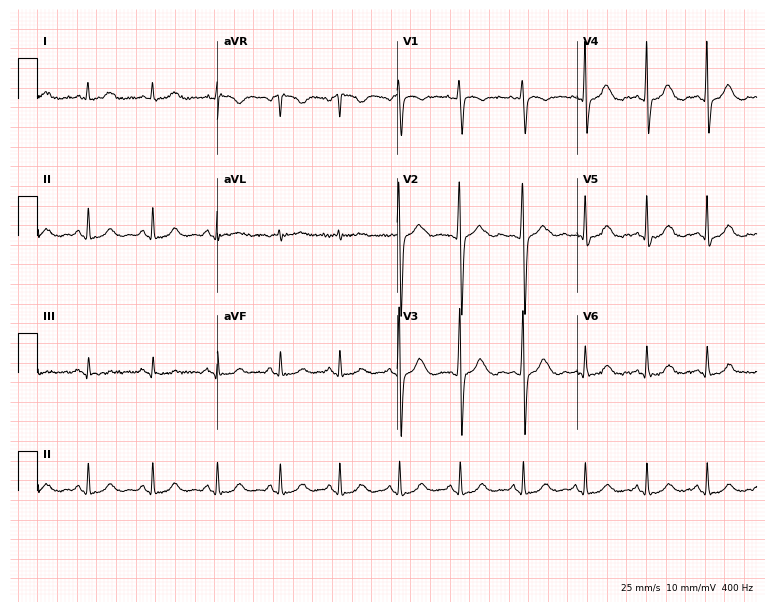
12-lead ECG from a woman, 42 years old. Screened for six findings — first-degree AV block, right bundle branch block, left bundle branch block, sinus bradycardia, atrial fibrillation, sinus tachycardia — none is recorded. Other findings, if any, are not listed.